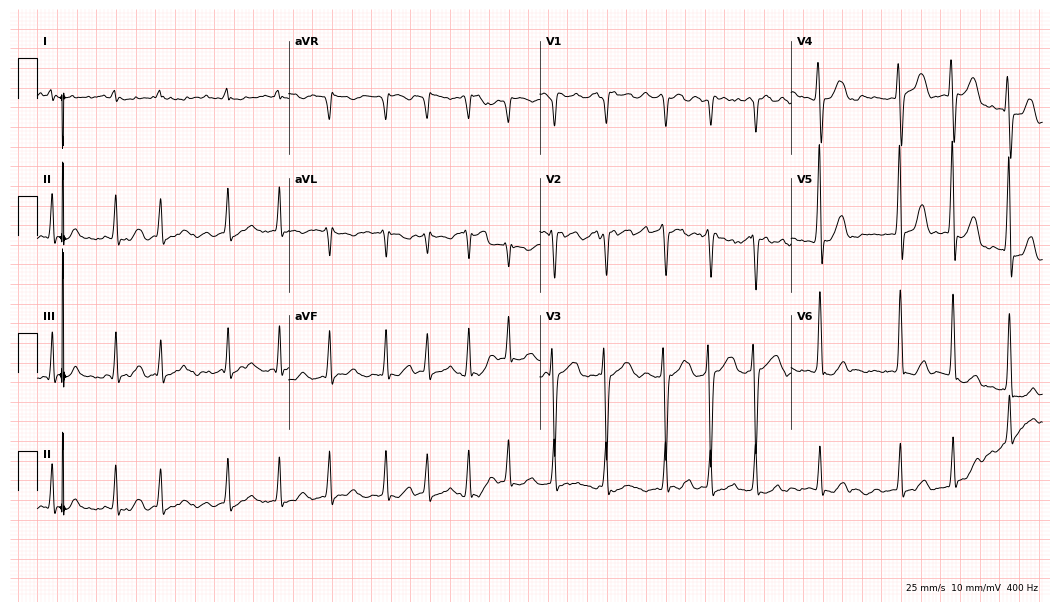
ECG — a 28-year-old woman. Findings include atrial fibrillation.